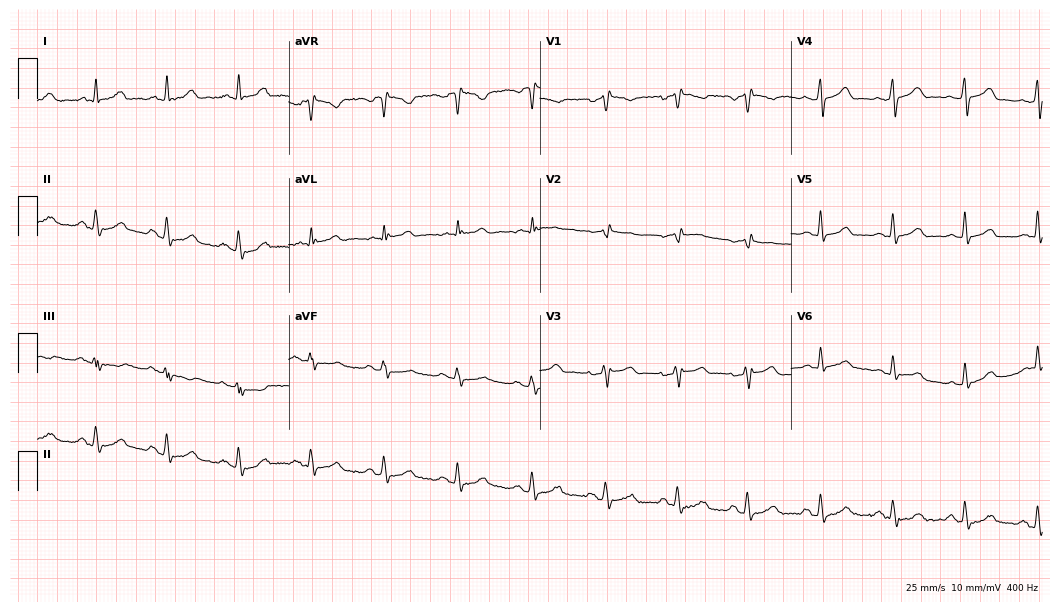
Standard 12-lead ECG recorded from a woman, 53 years old. None of these six findings is recorded: first-degree AV block, right bundle branch block, left bundle branch block, sinus bradycardia, atrial fibrillation, sinus tachycardia.